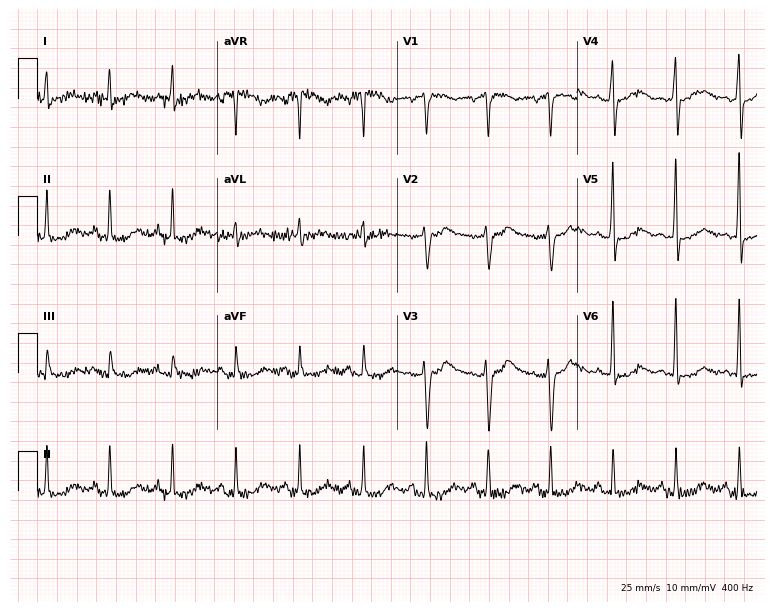
Resting 12-lead electrocardiogram. Patient: a 49-year-old female. None of these six findings is recorded: first-degree AV block, right bundle branch block, left bundle branch block, sinus bradycardia, atrial fibrillation, sinus tachycardia. Other findings, if any, are not listed.